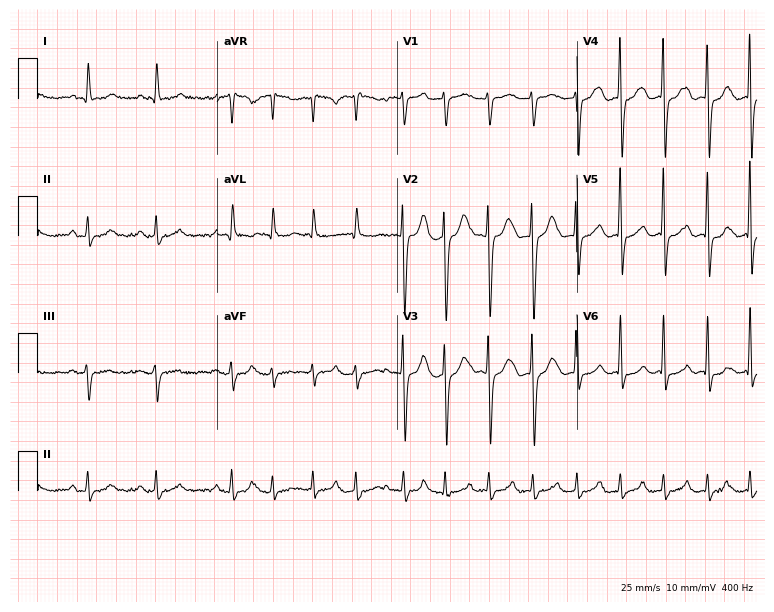
Electrocardiogram (7.3-second recording at 400 Hz), a 78-year-old female patient. Of the six screened findings (first-degree AV block, right bundle branch block (RBBB), left bundle branch block (LBBB), sinus bradycardia, atrial fibrillation (AF), sinus tachycardia), none is recorded. Only these six findings were labelled.